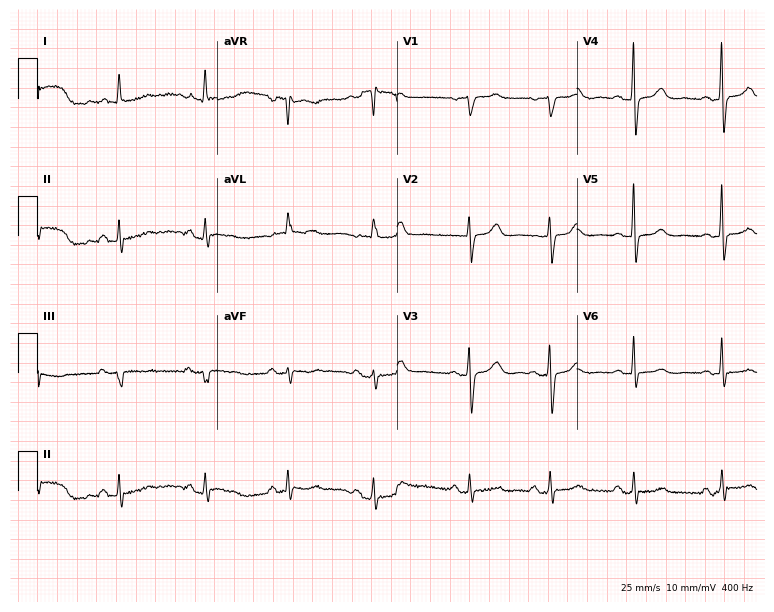
Electrocardiogram, a woman, 78 years old. Overall reading on record: normal ECG.